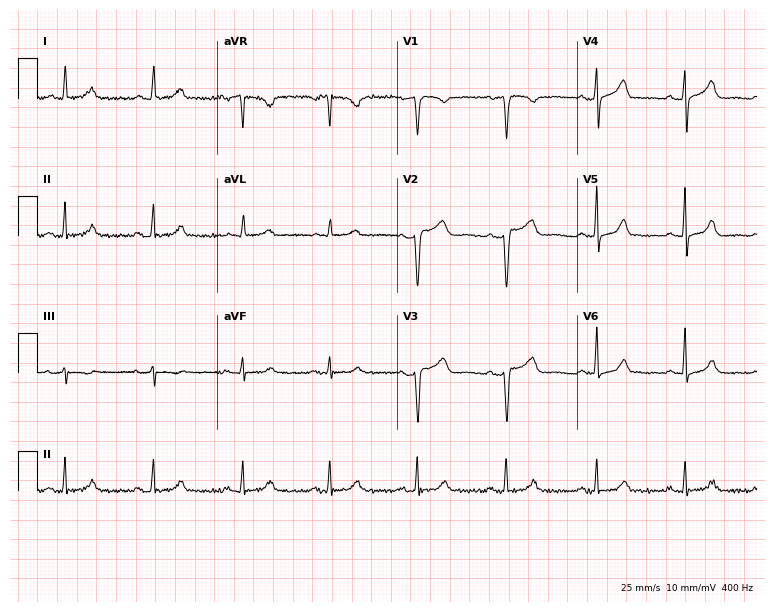
12-lead ECG from a 55-year-old female. No first-degree AV block, right bundle branch block, left bundle branch block, sinus bradycardia, atrial fibrillation or sinus tachycardia recorded for this tracing.